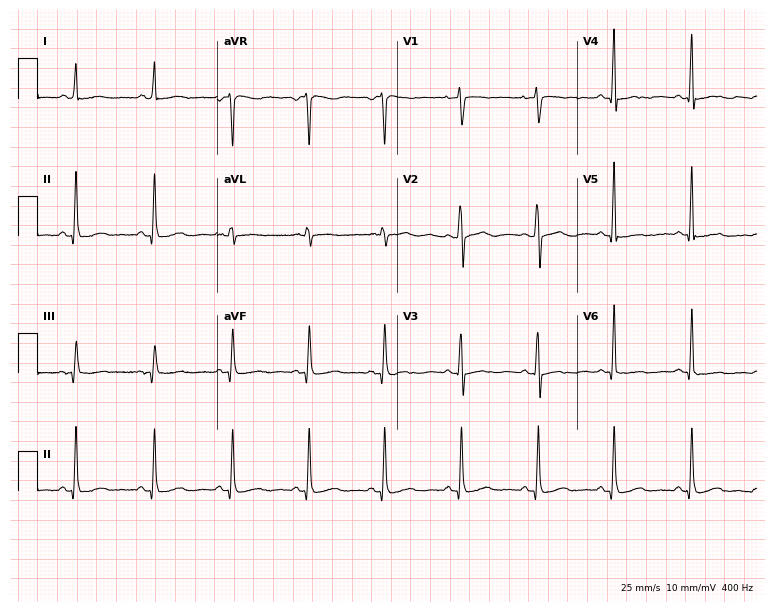
Electrocardiogram (7.3-second recording at 400 Hz), a female, 50 years old. Of the six screened findings (first-degree AV block, right bundle branch block (RBBB), left bundle branch block (LBBB), sinus bradycardia, atrial fibrillation (AF), sinus tachycardia), none is recorded.